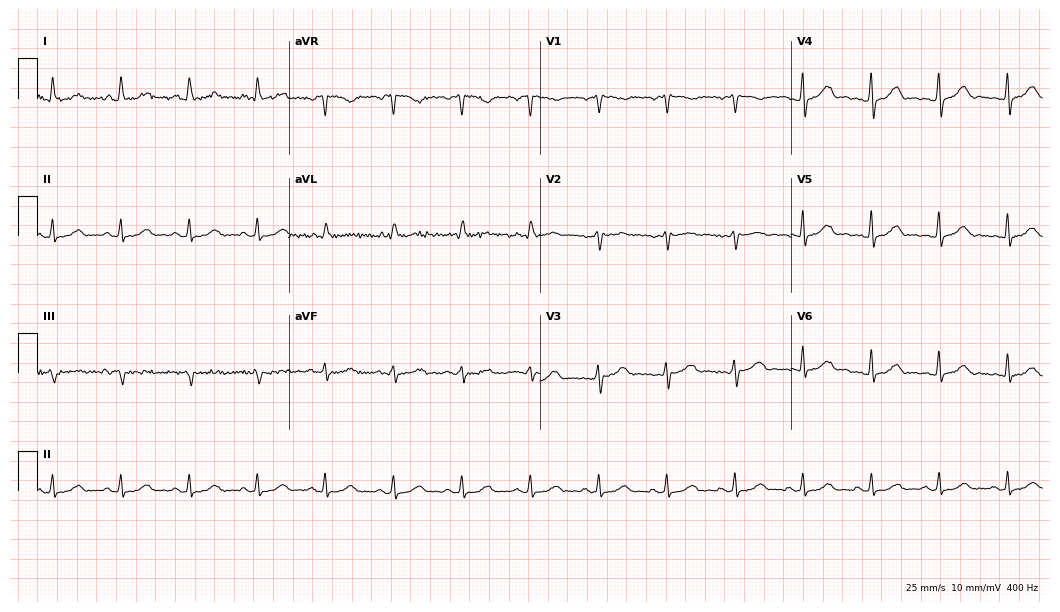
ECG — a 43-year-old female. Screened for six findings — first-degree AV block, right bundle branch block (RBBB), left bundle branch block (LBBB), sinus bradycardia, atrial fibrillation (AF), sinus tachycardia — none is recorded. Only these six findings were labelled.